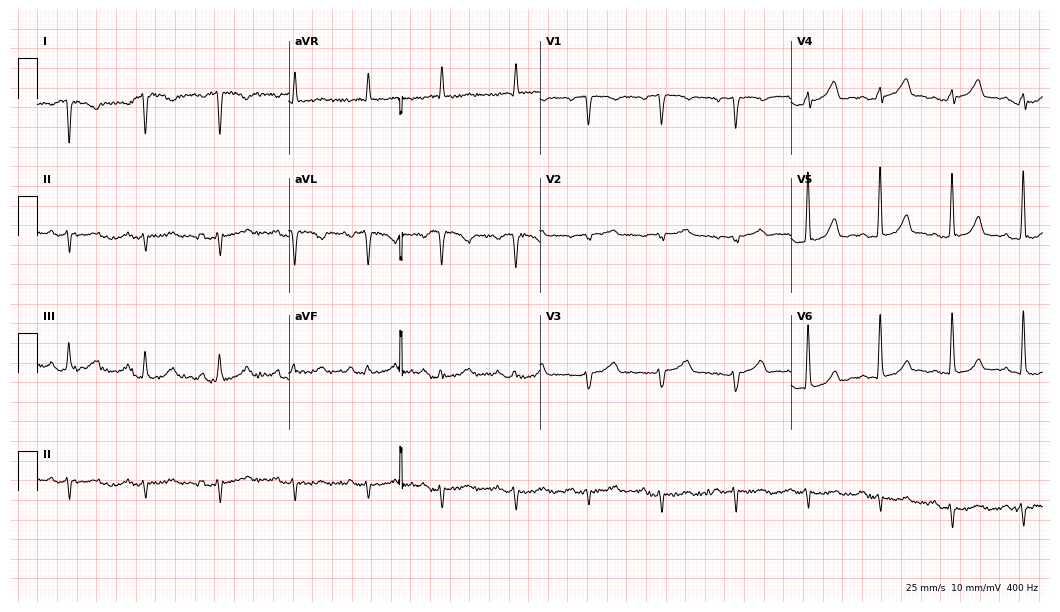
Resting 12-lead electrocardiogram. Patient: a woman, 65 years old. None of these six findings is recorded: first-degree AV block, right bundle branch block, left bundle branch block, sinus bradycardia, atrial fibrillation, sinus tachycardia.